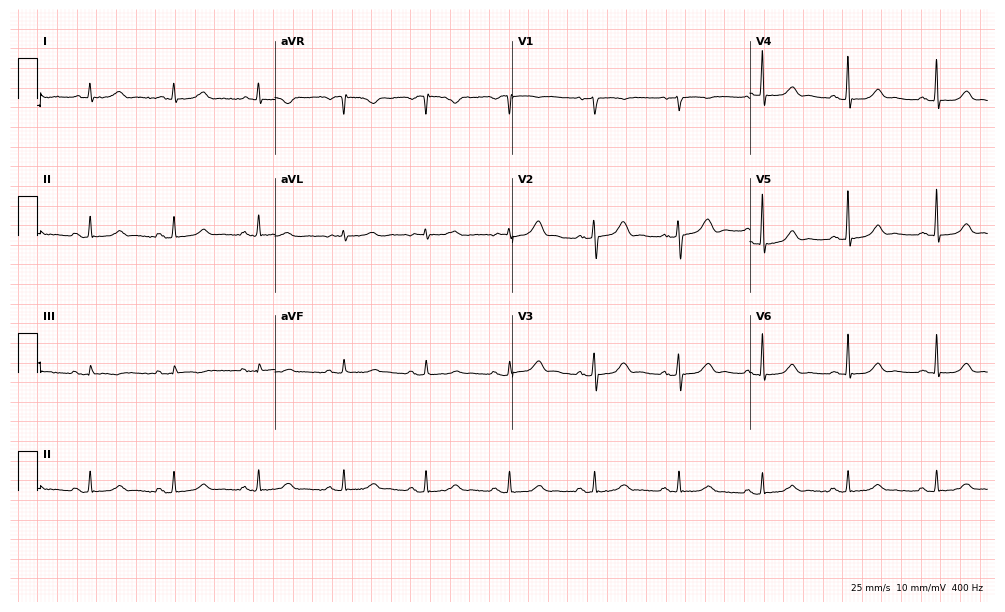
12-lead ECG from a female, 80 years old. Labelled as a normal ECG.